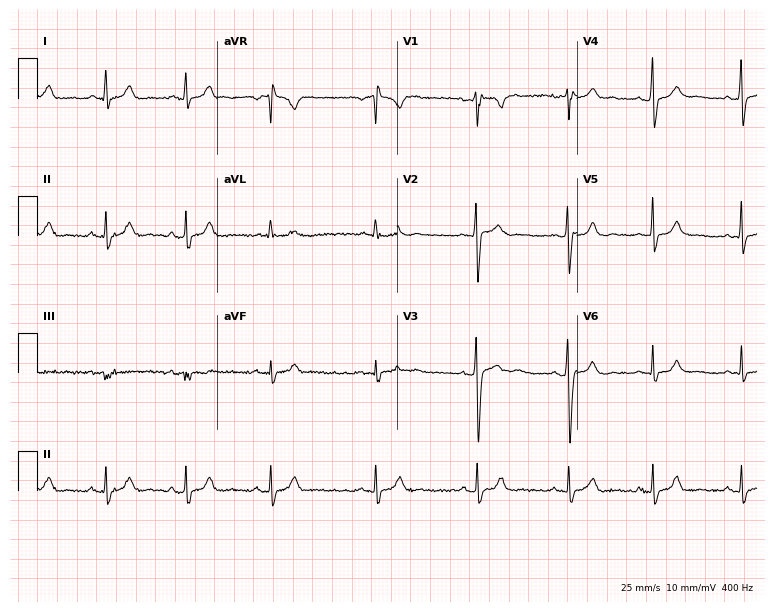
ECG — a male patient, 24 years old. Screened for six findings — first-degree AV block, right bundle branch block, left bundle branch block, sinus bradycardia, atrial fibrillation, sinus tachycardia — none is recorded. Findings outside these six are not listed.